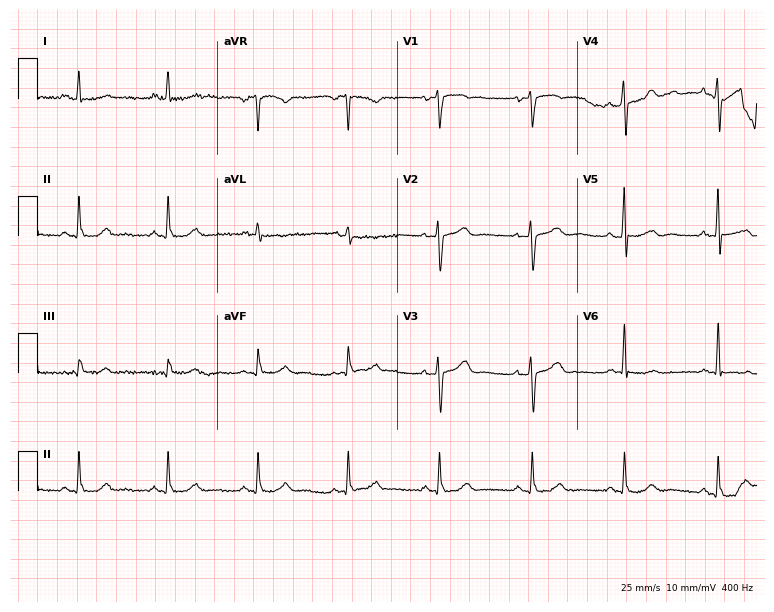
ECG — an 84-year-old man. Screened for six findings — first-degree AV block, right bundle branch block, left bundle branch block, sinus bradycardia, atrial fibrillation, sinus tachycardia — none is recorded. Other findings, if any, are not listed.